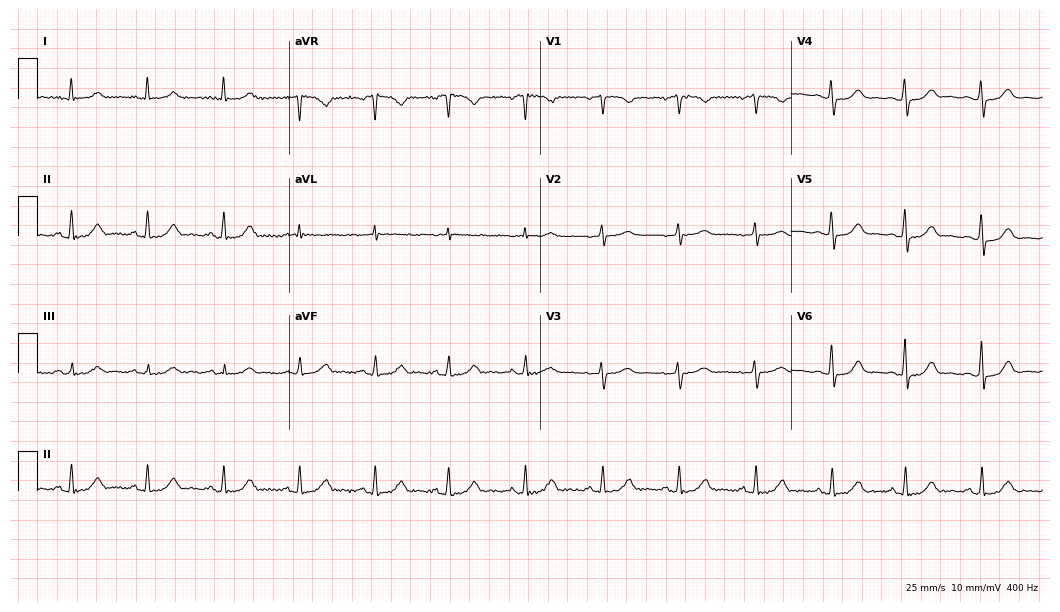
12-lead ECG from a 56-year-old woman (10.2-second recording at 400 Hz). Recorded interpretation: within normal limits.